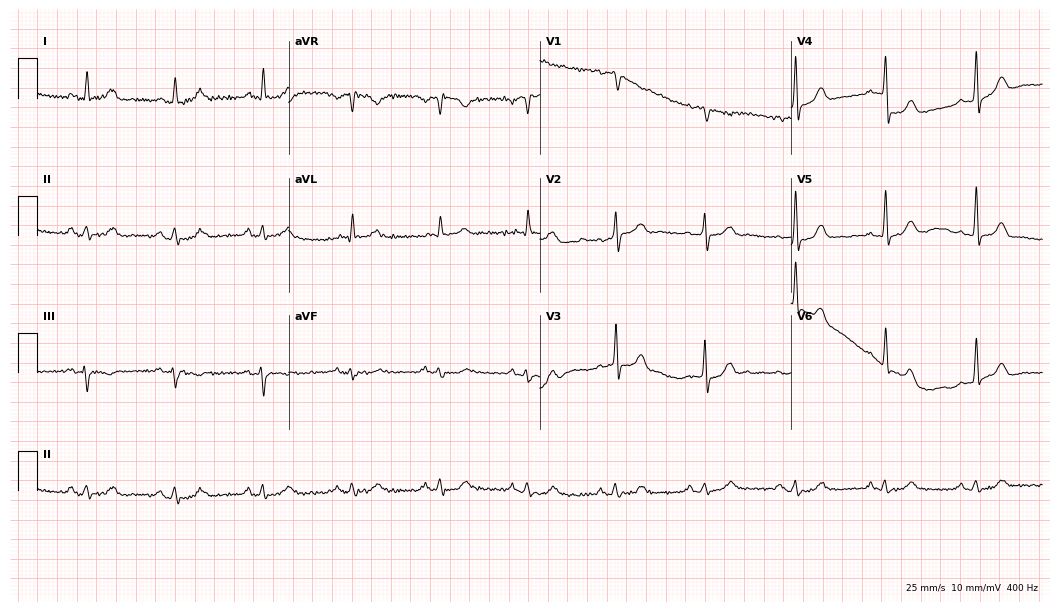
Resting 12-lead electrocardiogram. Patient: a male, 62 years old. None of these six findings is recorded: first-degree AV block, right bundle branch block, left bundle branch block, sinus bradycardia, atrial fibrillation, sinus tachycardia.